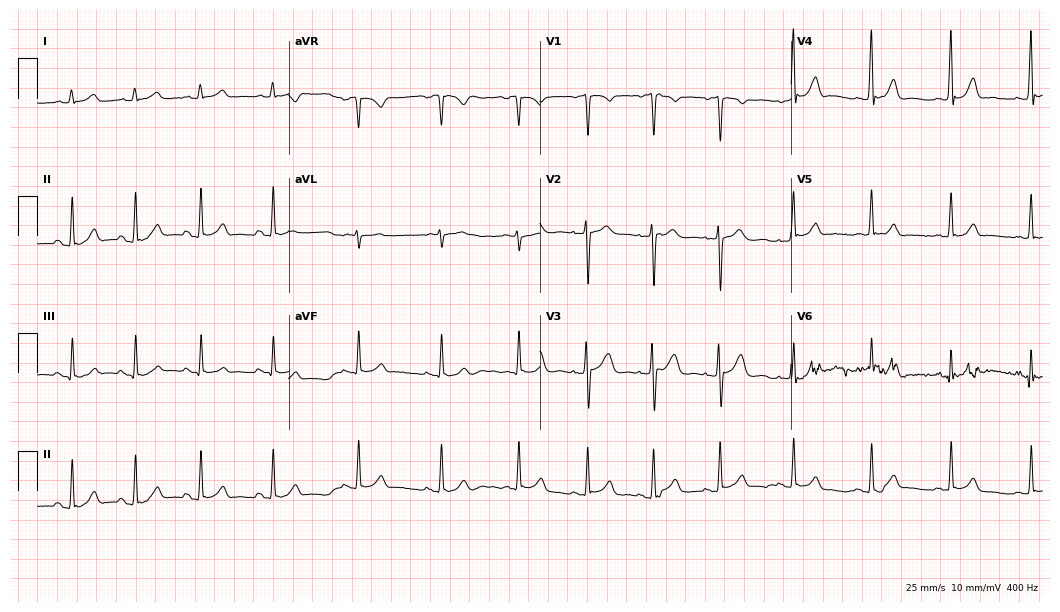
12-lead ECG from a 25-year-old female. Recorded interpretation: within normal limits.